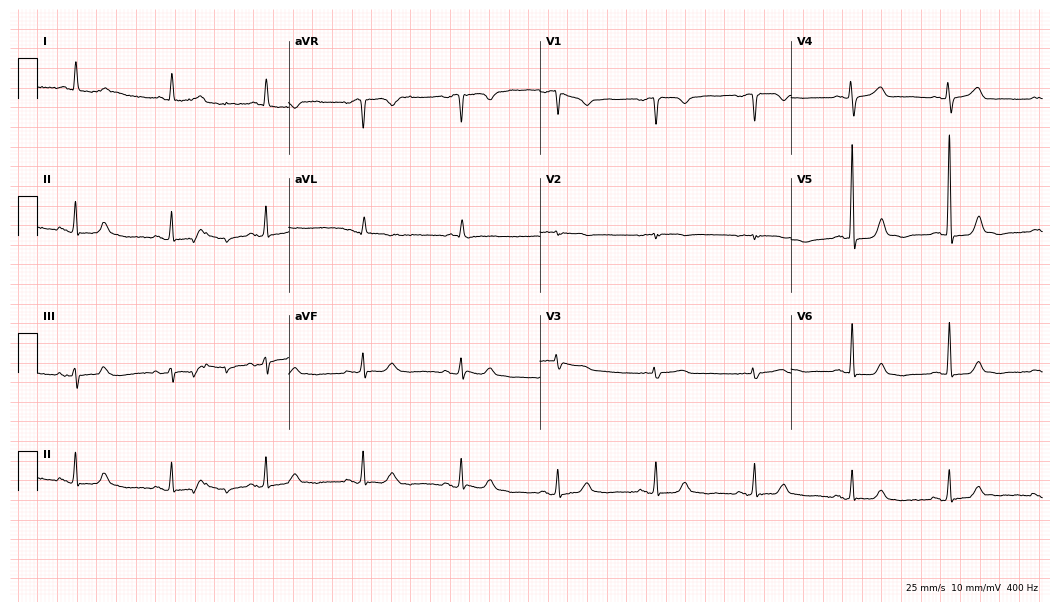
ECG (10.2-second recording at 400 Hz) — a female, 84 years old. Screened for six findings — first-degree AV block, right bundle branch block, left bundle branch block, sinus bradycardia, atrial fibrillation, sinus tachycardia — none is recorded. Other findings, if any, are not listed.